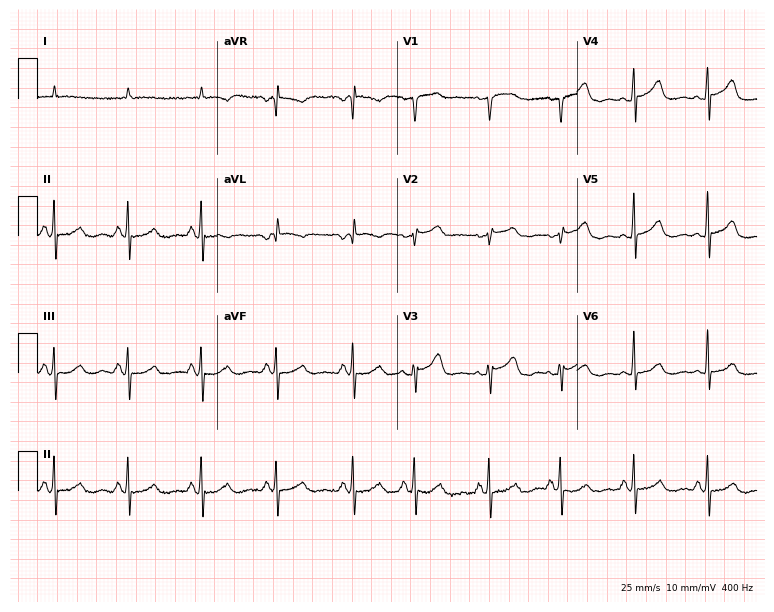
Standard 12-lead ECG recorded from a male, 72 years old (7.3-second recording at 400 Hz). None of these six findings is recorded: first-degree AV block, right bundle branch block, left bundle branch block, sinus bradycardia, atrial fibrillation, sinus tachycardia.